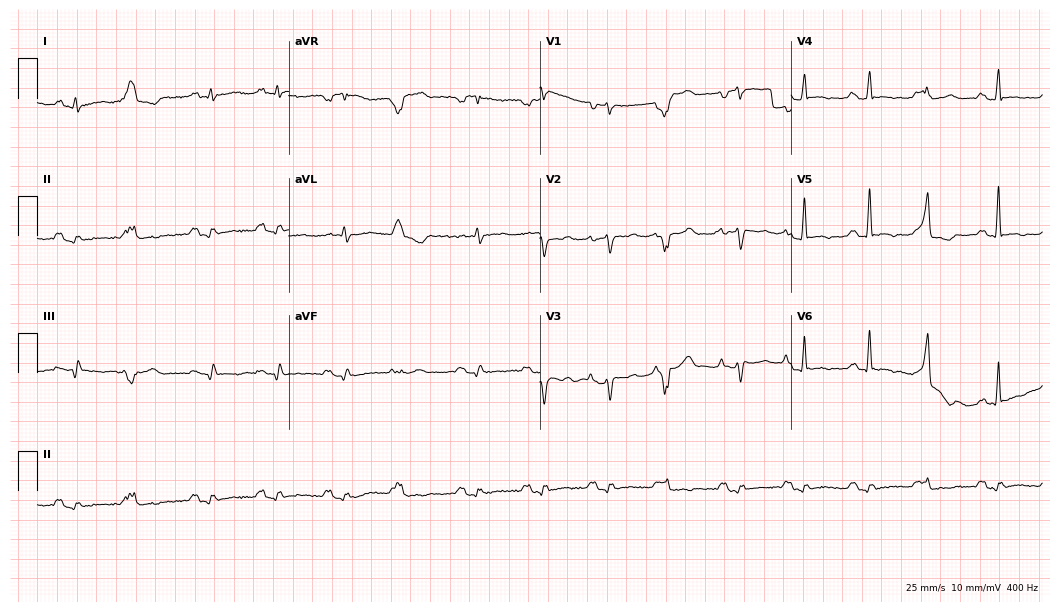
12-lead ECG (10.2-second recording at 400 Hz) from a male patient, 49 years old. Screened for six findings — first-degree AV block, right bundle branch block, left bundle branch block, sinus bradycardia, atrial fibrillation, sinus tachycardia — none is recorded.